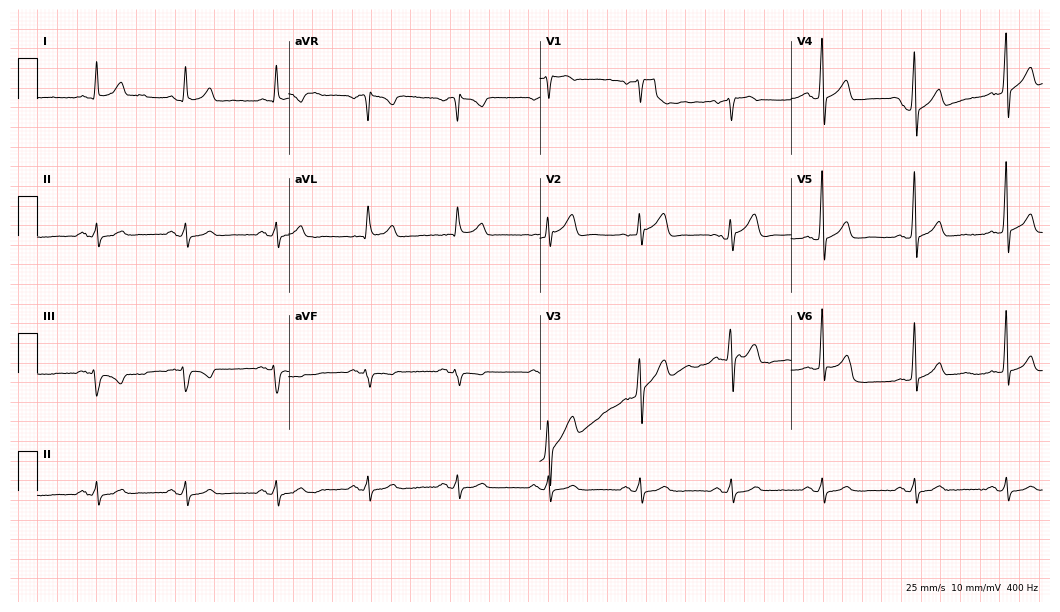
12-lead ECG from a male patient, 59 years old. Labelled as a normal ECG.